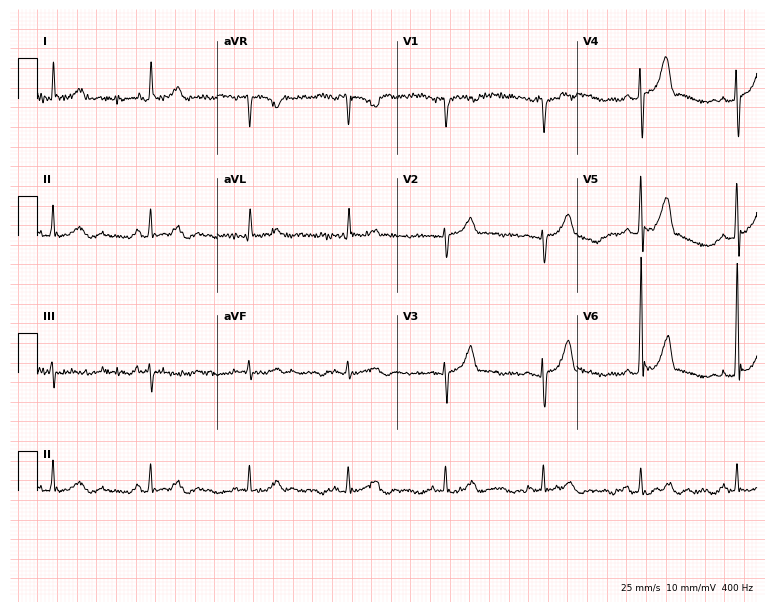
Electrocardiogram, a 62-year-old male patient. Of the six screened findings (first-degree AV block, right bundle branch block (RBBB), left bundle branch block (LBBB), sinus bradycardia, atrial fibrillation (AF), sinus tachycardia), none is recorded. Findings outside these six are not listed.